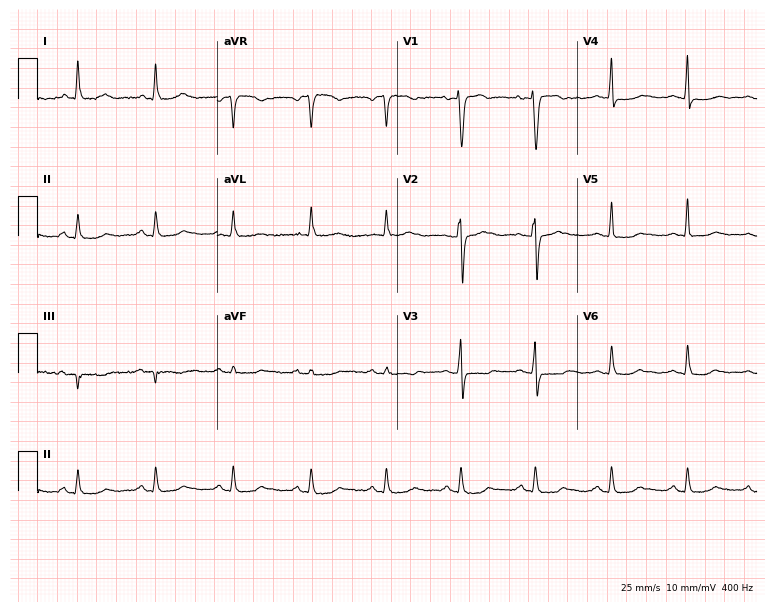
12-lead ECG from a female, 51 years old. Screened for six findings — first-degree AV block, right bundle branch block (RBBB), left bundle branch block (LBBB), sinus bradycardia, atrial fibrillation (AF), sinus tachycardia — none is recorded.